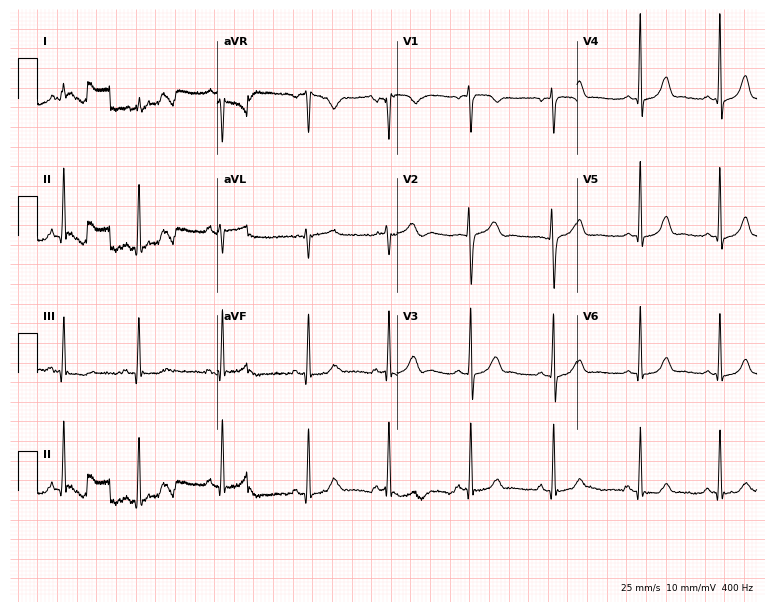
Electrocardiogram, a woman, 28 years old. Overall reading on record: normal ECG.